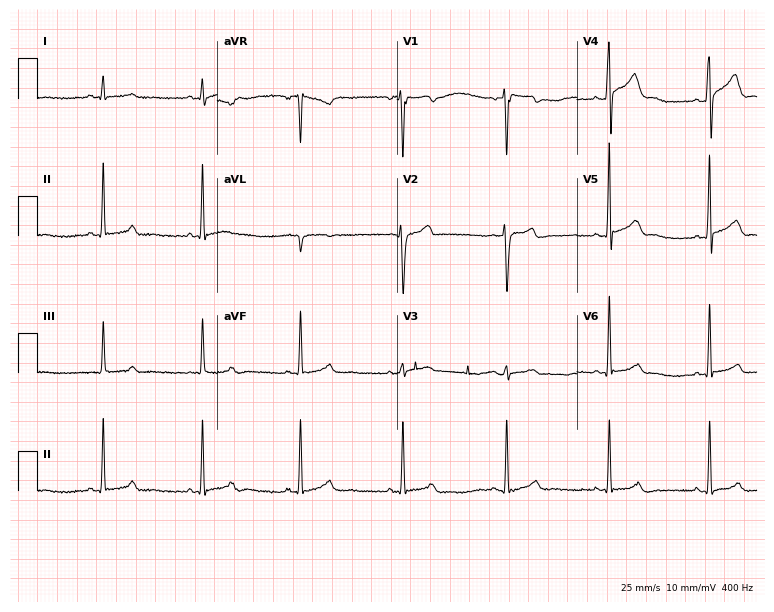
Standard 12-lead ECG recorded from a 22-year-old male patient (7.3-second recording at 400 Hz). Read as a normal ECG.